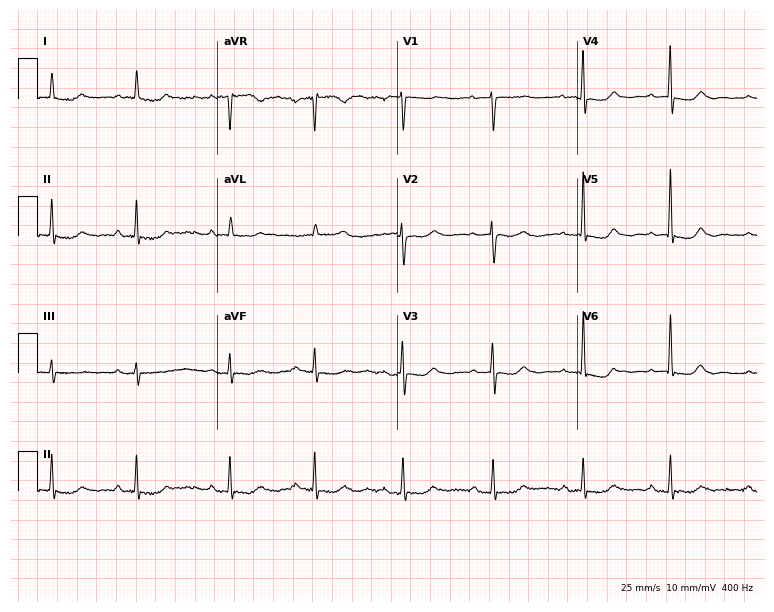
Electrocardiogram, a 76-year-old female patient. Of the six screened findings (first-degree AV block, right bundle branch block, left bundle branch block, sinus bradycardia, atrial fibrillation, sinus tachycardia), none is recorded.